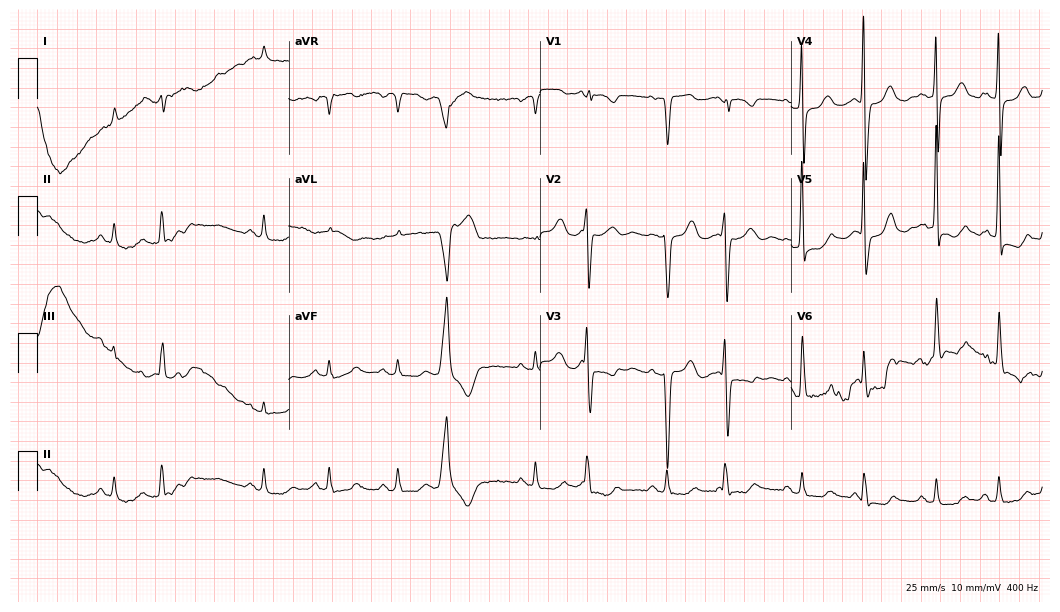
12-lead ECG from a 75-year-old female. No first-degree AV block, right bundle branch block, left bundle branch block, sinus bradycardia, atrial fibrillation or sinus tachycardia recorded for this tracing.